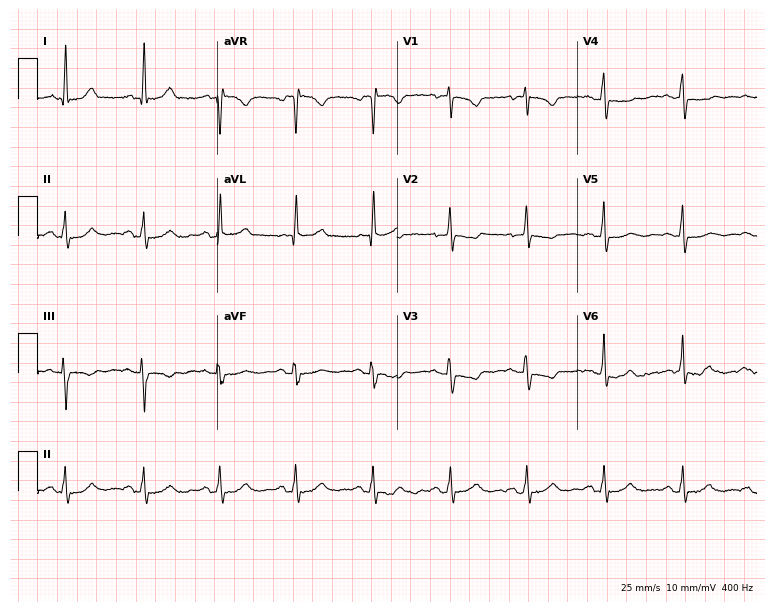
ECG — a female patient, 50 years old. Screened for six findings — first-degree AV block, right bundle branch block, left bundle branch block, sinus bradycardia, atrial fibrillation, sinus tachycardia — none is recorded.